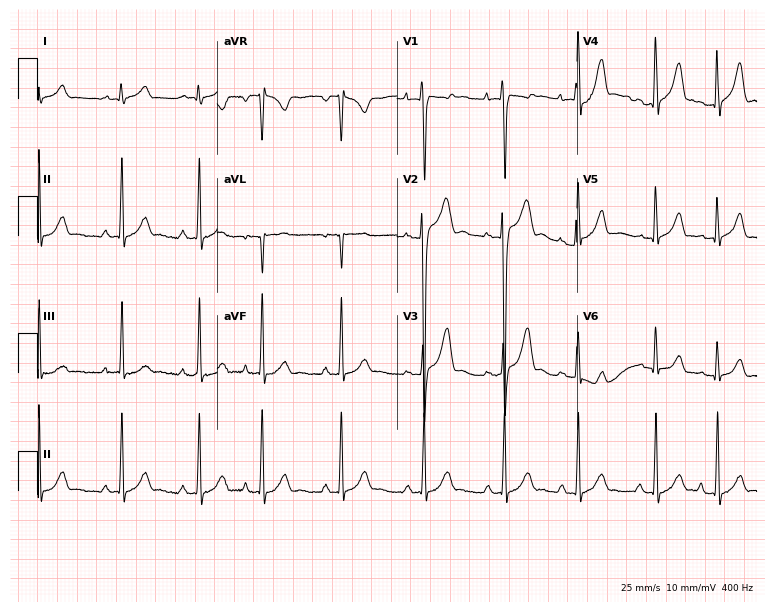
12-lead ECG from a male, 19 years old. No first-degree AV block, right bundle branch block (RBBB), left bundle branch block (LBBB), sinus bradycardia, atrial fibrillation (AF) or sinus tachycardia recorded for this tracing. Other findings, if any, are not listed.